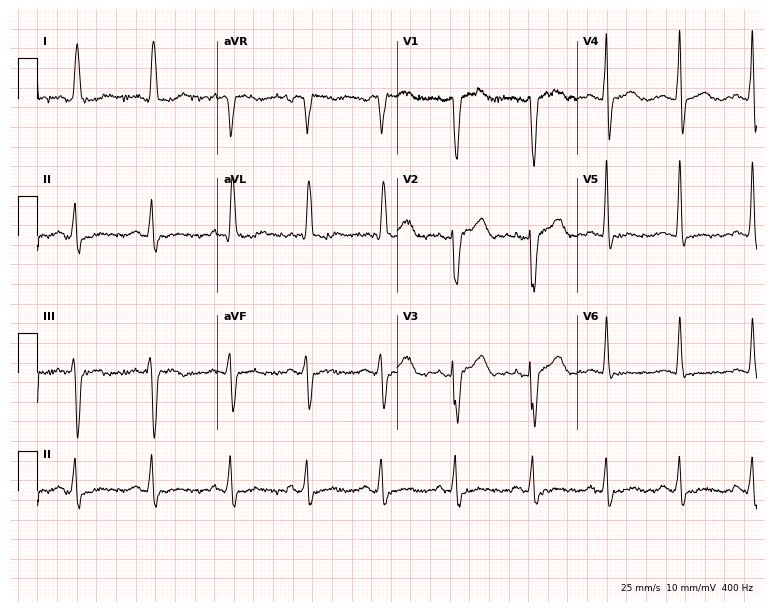
ECG (7.3-second recording at 400 Hz) — a 48-year-old female. Findings include left bundle branch block.